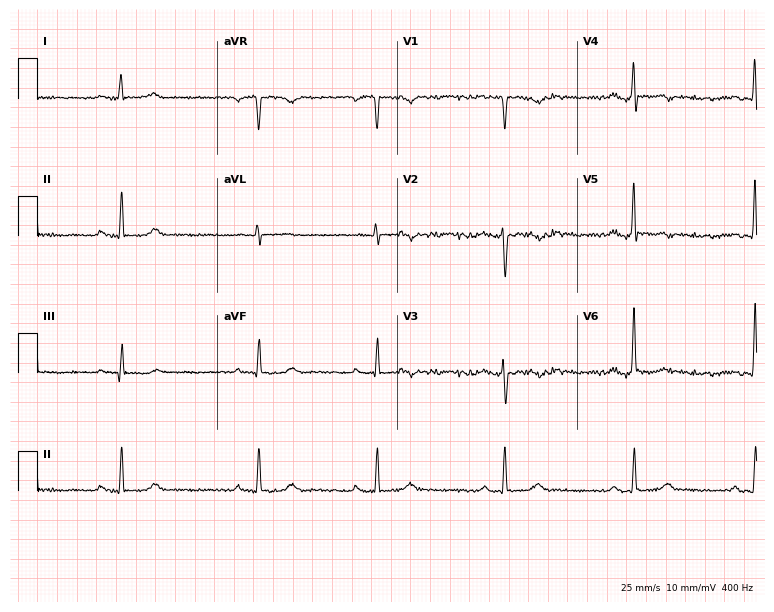
ECG (7.3-second recording at 400 Hz) — a 44-year-old female. Findings include first-degree AV block, sinus bradycardia (a sinus rate of 50 beats per minute or less).